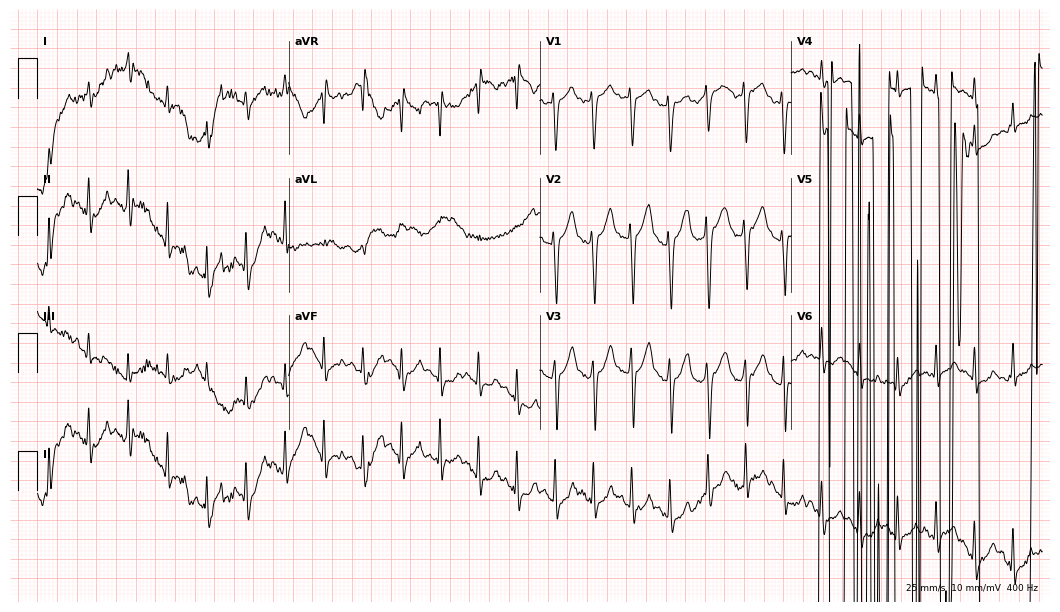
Resting 12-lead electrocardiogram. Patient: a male, 19 years old. None of these six findings is recorded: first-degree AV block, right bundle branch block, left bundle branch block, sinus bradycardia, atrial fibrillation, sinus tachycardia. Only these six findings were labelled.